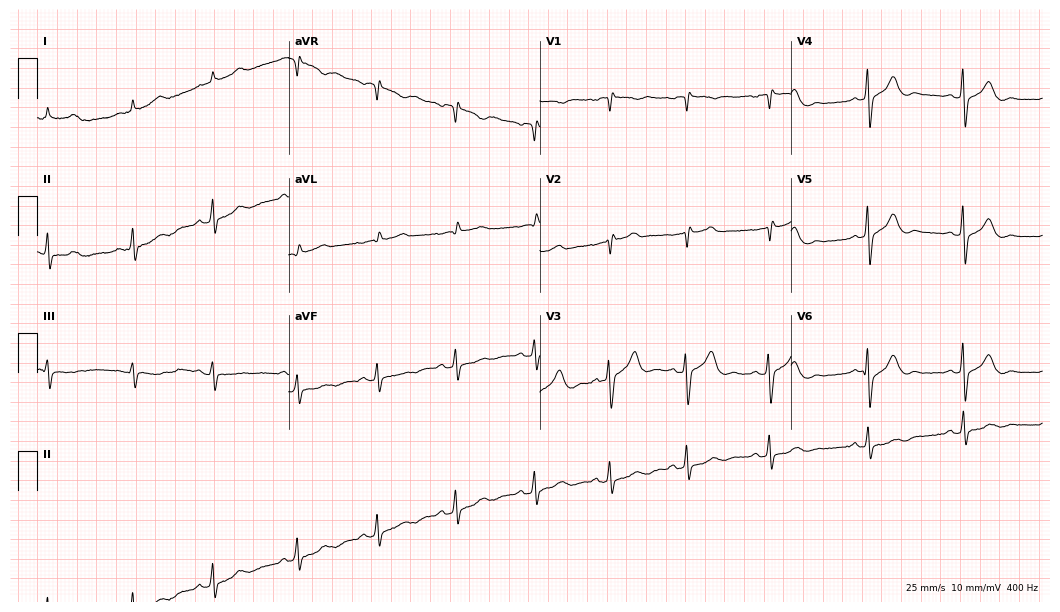
12-lead ECG (10.2-second recording at 400 Hz) from a 78-year-old male patient. Labelled as a normal ECG.